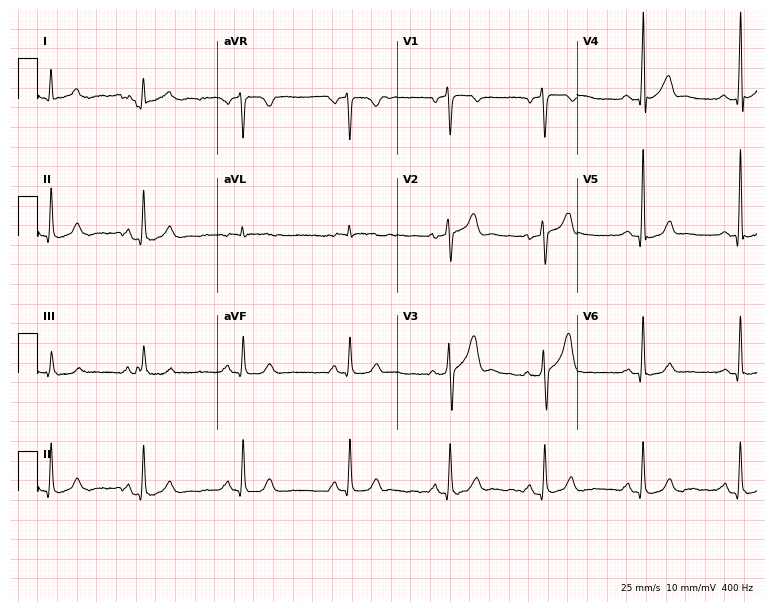
ECG (7.3-second recording at 400 Hz) — a male patient, 32 years old. Labelled as a normal ECG.